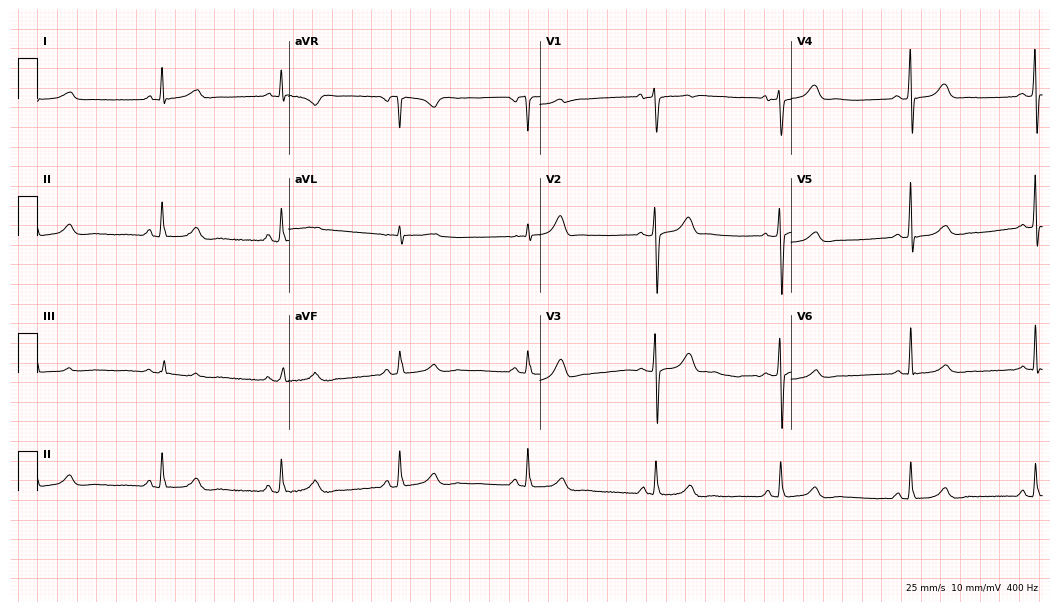
Electrocardiogram (10.2-second recording at 400 Hz), a woman, 49 years old. Of the six screened findings (first-degree AV block, right bundle branch block (RBBB), left bundle branch block (LBBB), sinus bradycardia, atrial fibrillation (AF), sinus tachycardia), none is recorded. Only these six findings were labelled.